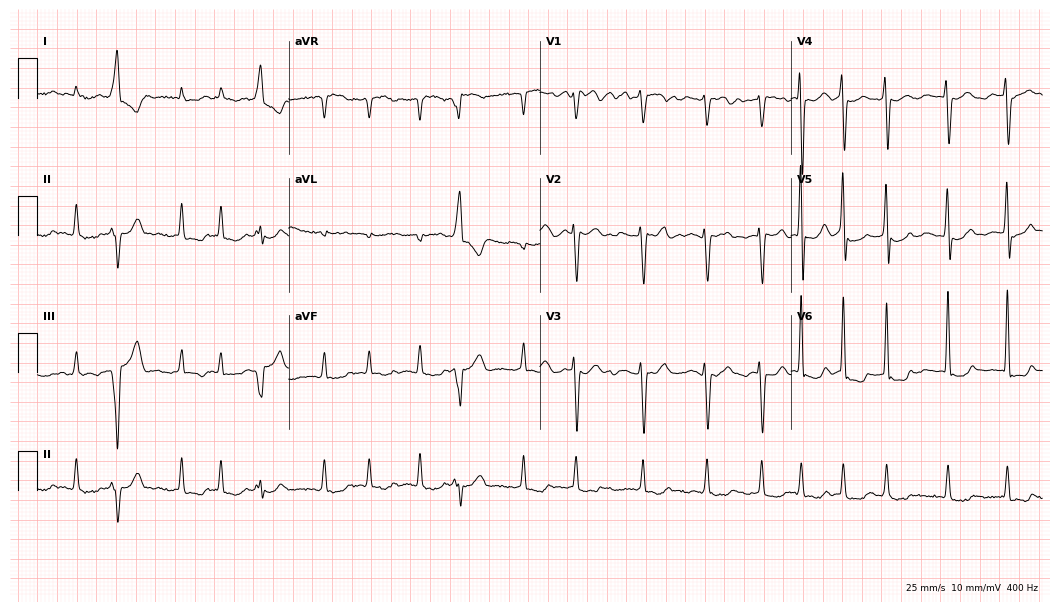
12-lead ECG from a woman, 70 years old. Findings include atrial fibrillation.